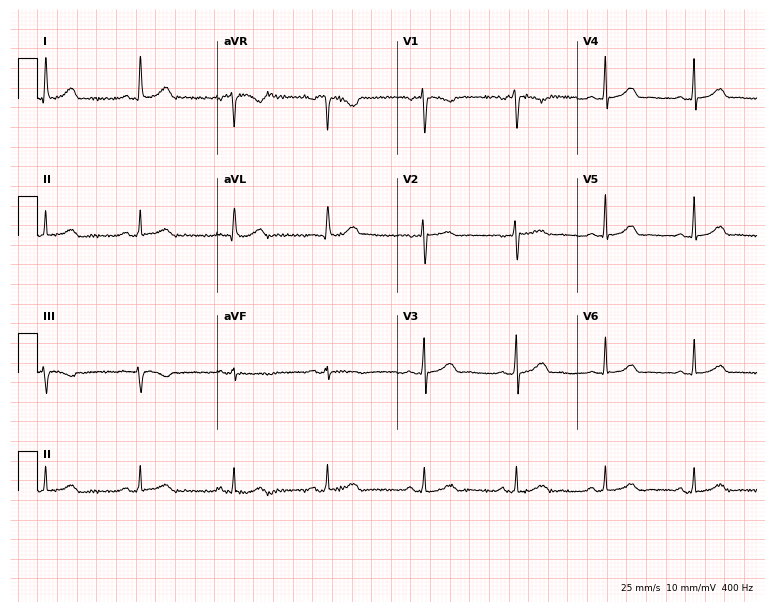
ECG — a 33-year-old female patient. Labelled as a normal ECG.